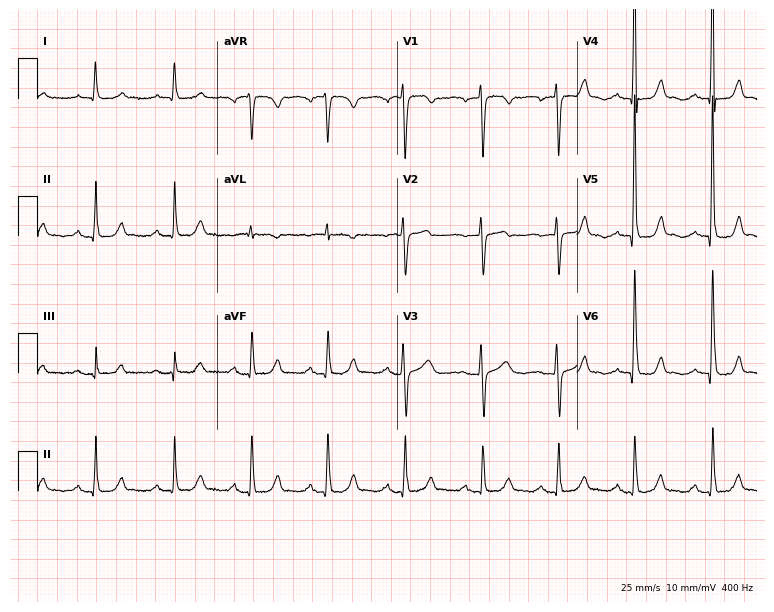
12-lead ECG from a 60-year-old woman (7.3-second recording at 400 Hz). No first-degree AV block, right bundle branch block (RBBB), left bundle branch block (LBBB), sinus bradycardia, atrial fibrillation (AF) or sinus tachycardia recorded for this tracing.